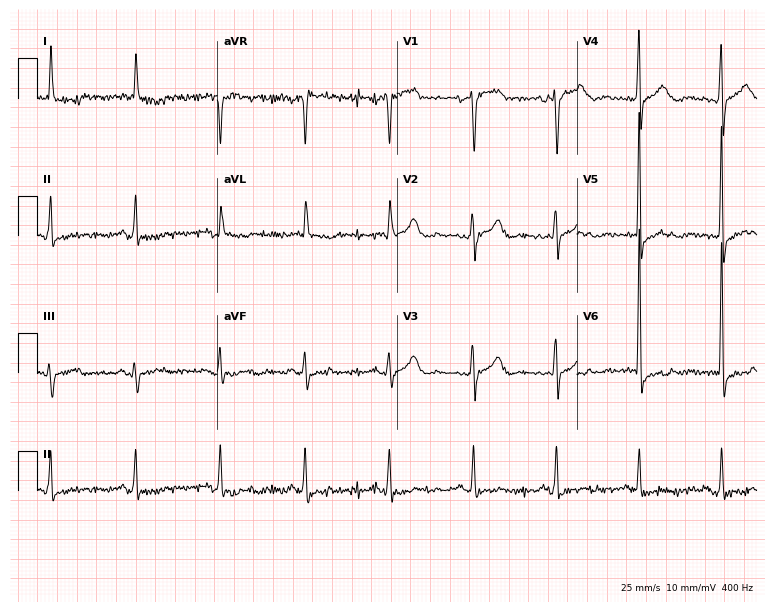
Electrocardiogram (7.3-second recording at 400 Hz), a man, 84 years old. Of the six screened findings (first-degree AV block, right bundle branch block, left bundle branch block, sinus bradycardia, atrial fibrillation, sinus tachycardia), none is recorded. Findings outside these six are not listed.